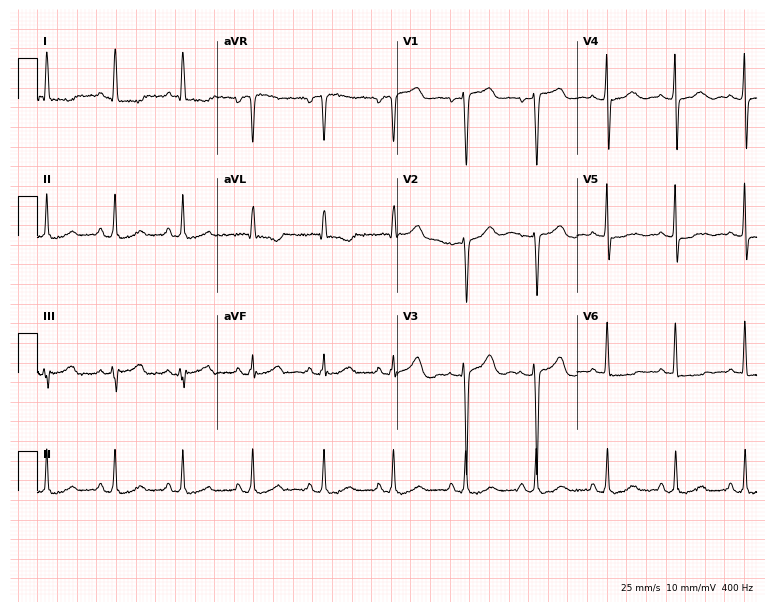
Electrocardiogram (7.3-second recording at 400 Hz), a 59-year-old female. Of the six screened findings (first-degree AV block, right bundle branch block, left bundle branch block, sinus bradycardia, atrial fibrillation, sinus tachycardia), none is recorded.